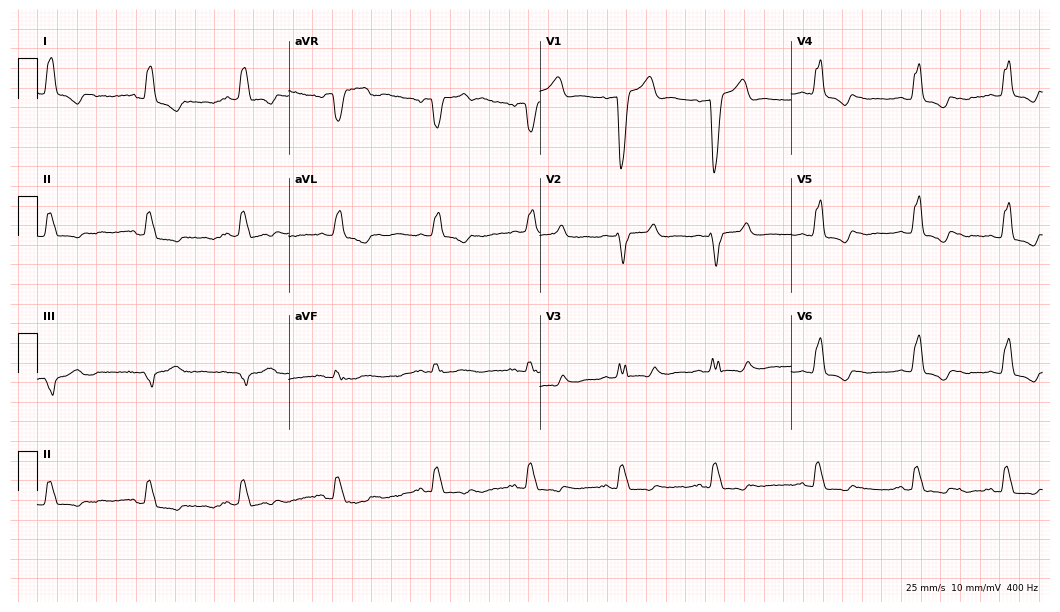
Standard 12-lead ECG recorded from a 72-year-old male (10.2-second recording at 400 Hz). The tracing shows first-degree AV block, left bundle branch block (LBBB).